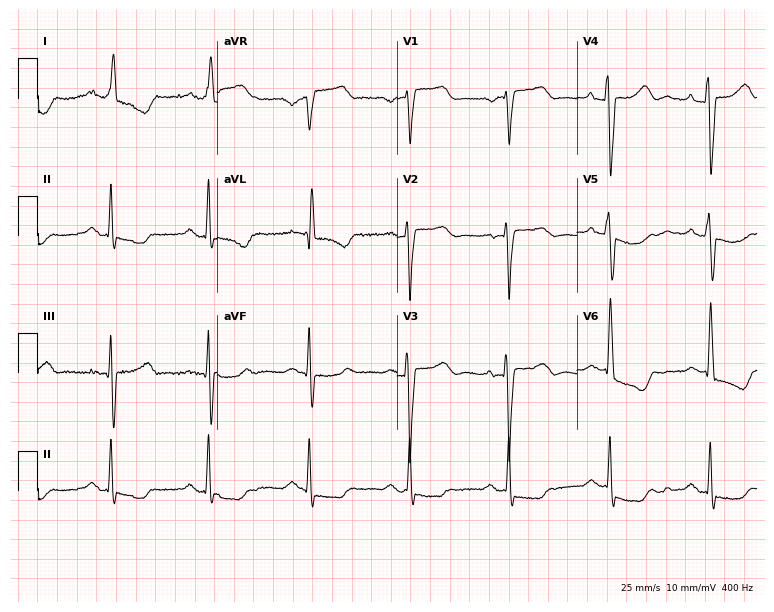
12-lead ECG from a 47-year-old female (7.3-second recording at 400 Hz). No first-degree AV block, right bundle branch block, left bundle branch block, sinus bradycardia, atrial fibrillation or sinus tachycardia recorded for this tracing.